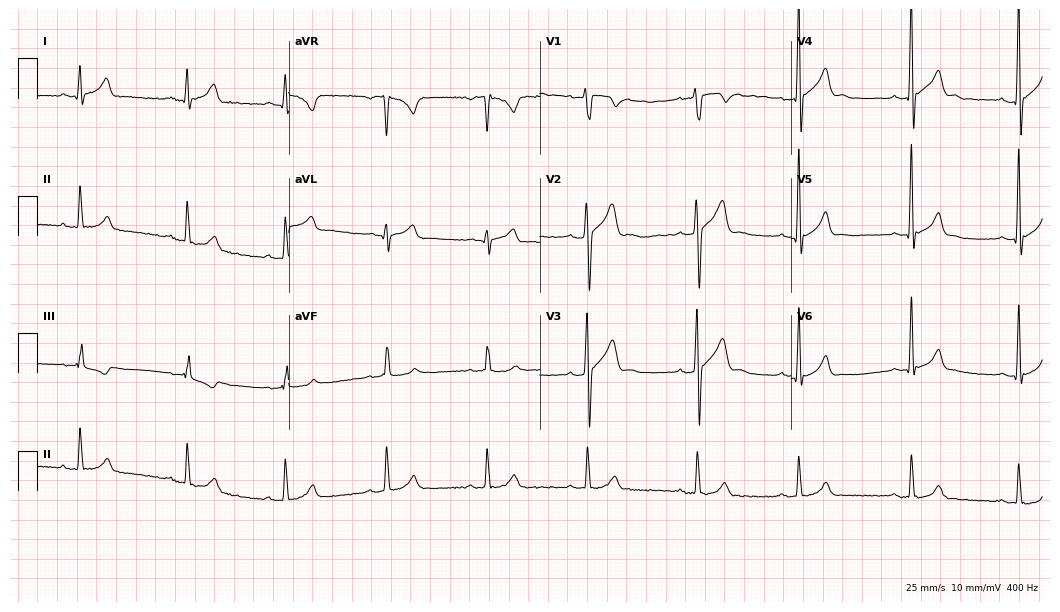
12-lead ECG from a male, 17 years old (10.2-second recording at 400 Hz). Recorded interpretation: within normal limits.